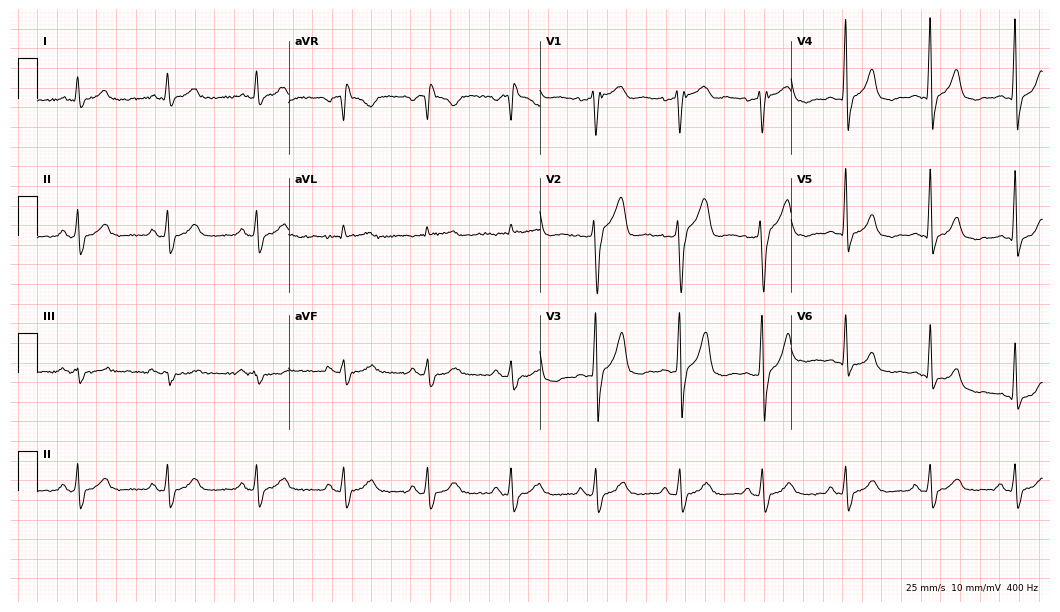
Electrocardiogram, a 74-year-old man. Of the six screened findings (first-degree AV block, right bundle branch block (RBBB), left bundle branch block (LBBB), sinus bradycardia, atrial fibrillation (AF), sinus tachycardia), none is recorded.